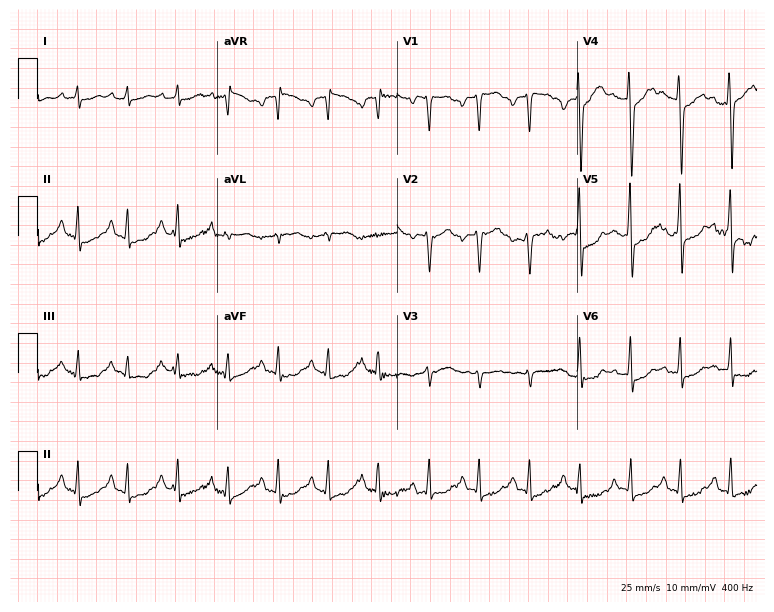
12-lead ECG from a male patient, 72 years old. No first-degree AV block, right bundle branch block, left bundle branch block, sinus bradycardia, atrial fibrillation or sinus tachycardia recorded for this tracing.